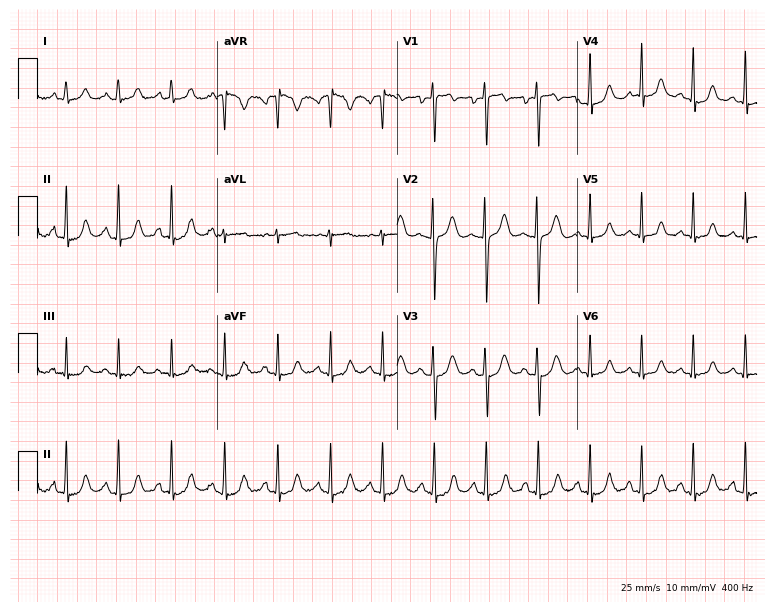
Electrocardiogram, a 17-year-old female patient. Interpretation includes sinus tachycardia (a sinus rate of 100 beats per minute or more).